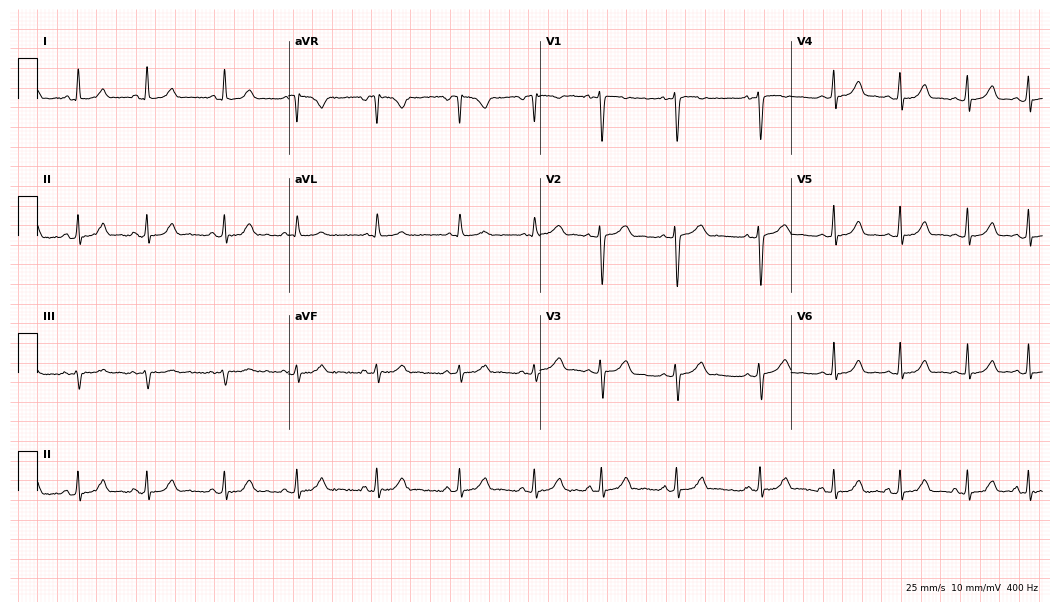
12-lead ECG from a woman, 20 years old. Labelled as a normal ECG.